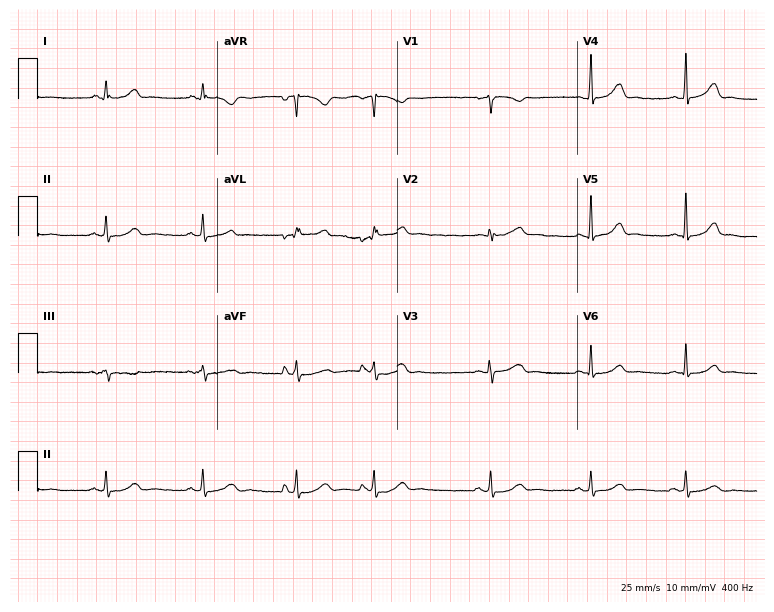
Standard 12-lead ECG recorded from a woman, 42 years old (7.3-second recording at 400 Hz). Read as a normal ECG.